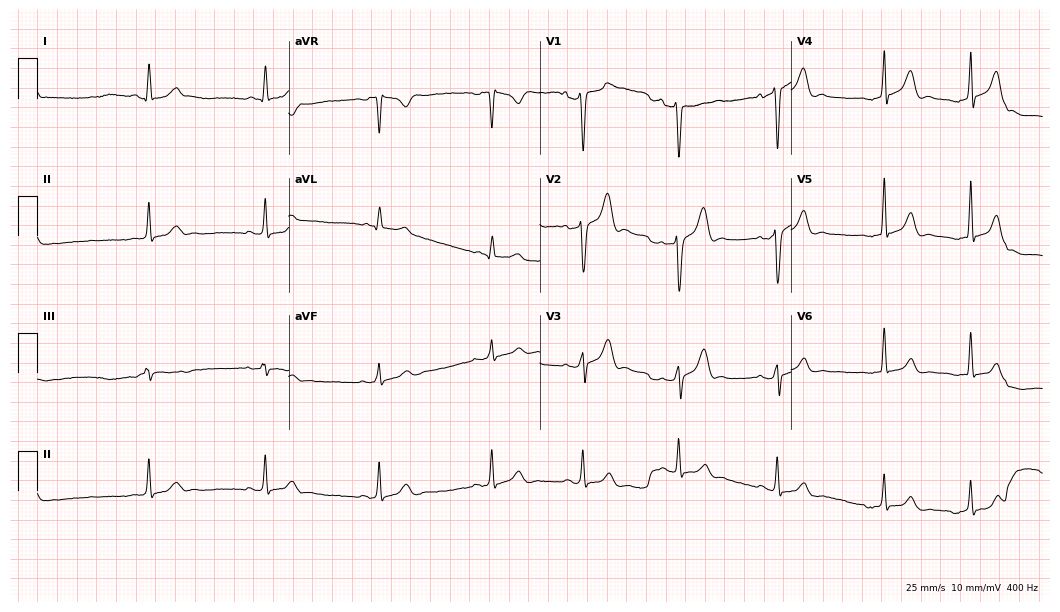
ECG — a male patient, 33 years old. Labelled as a normal ECG.